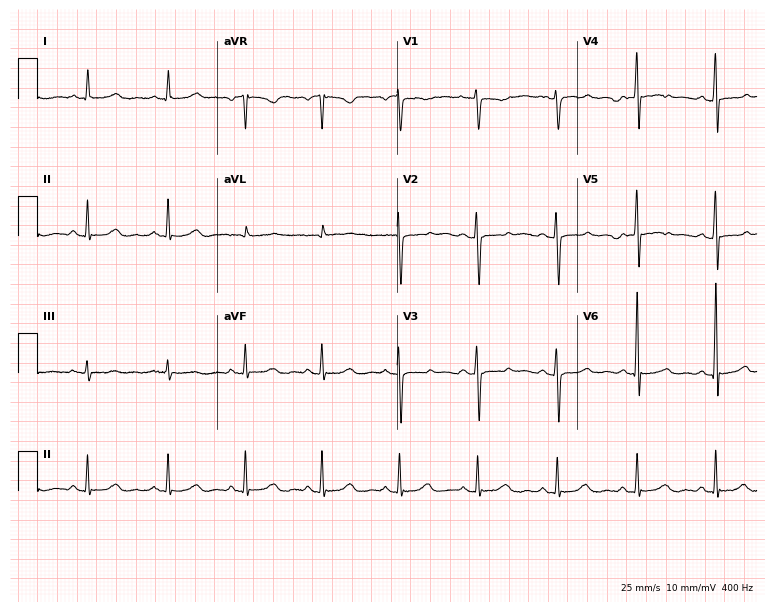
ECG (7.3-second recording at 400 Hz) — a 48-year-old female patient. Screened for six findings — first-degree AV block, right bundle branch block, left bundle branch block, sinus bradycardia, atrial fibrillation, sinus tachycardia — none is recorded. Findings outside these six are not listed.